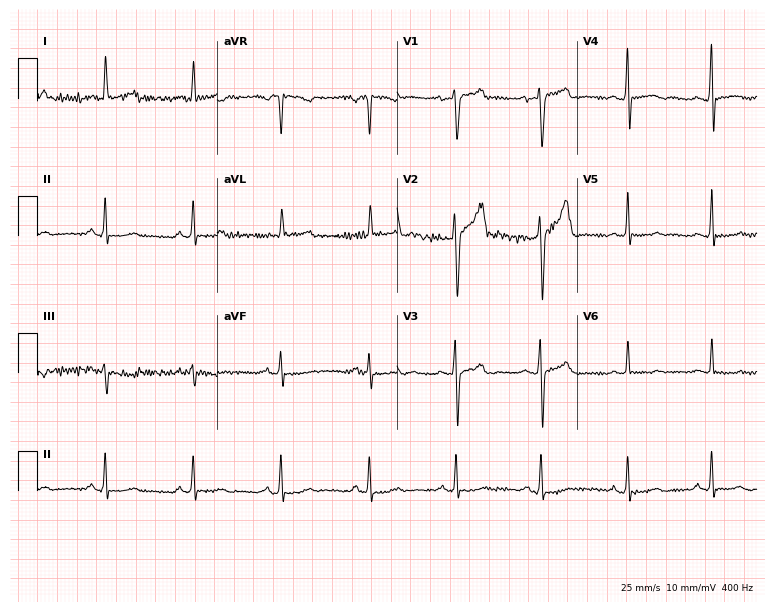
12-lead ECG from a 35-year-old male. Screened for six findings — first-degree AV block, right bundle branch block, left bundle branch block, sinus bradycardia, atrial fibrillation, sinus tachycardia — none is recorded.